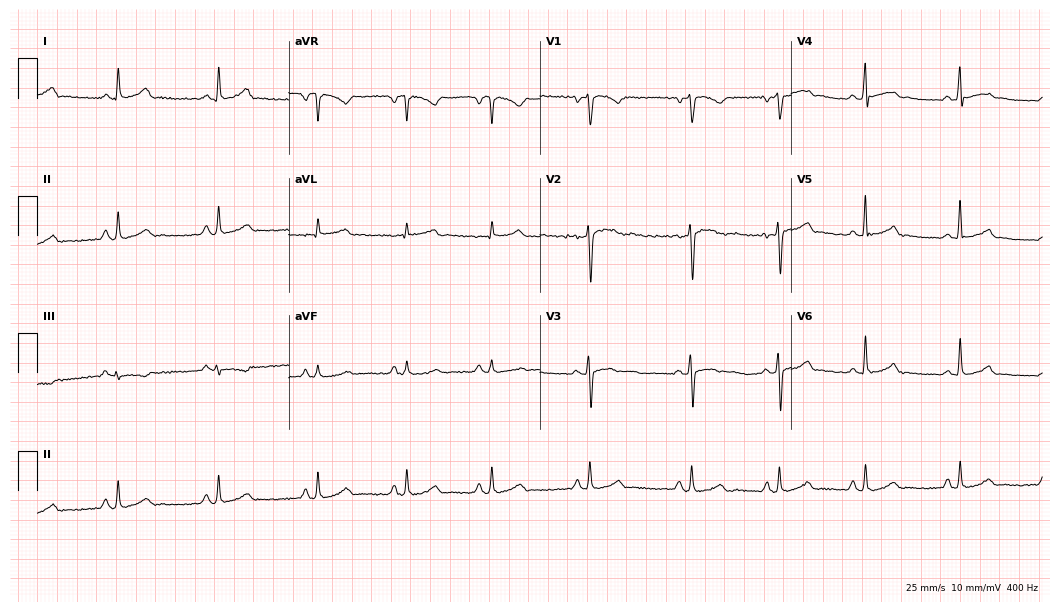
Standard 12-lead ECG recorded from a woman, 32 years old. Read as a normal ECG.